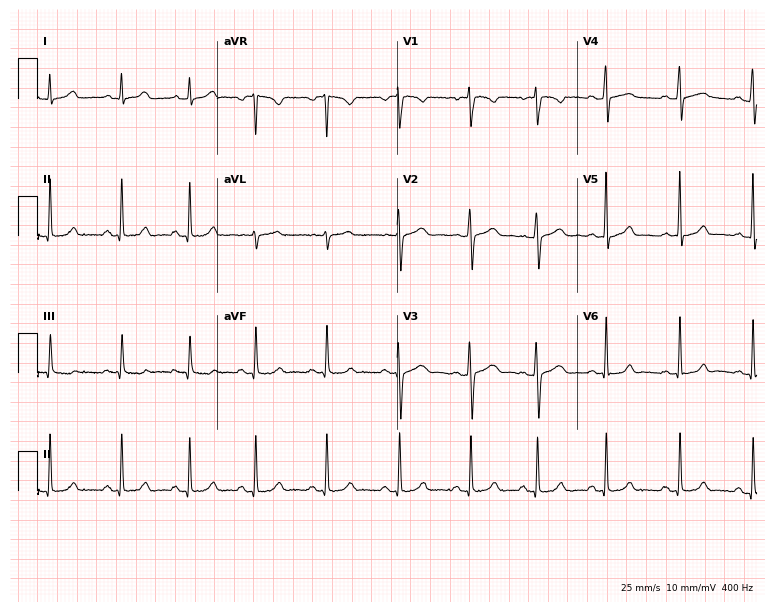
Electrocardiogram (7.3-second recording at 400 Hz), a female patient, 25 years old. Overall reading on record: normal ECG.